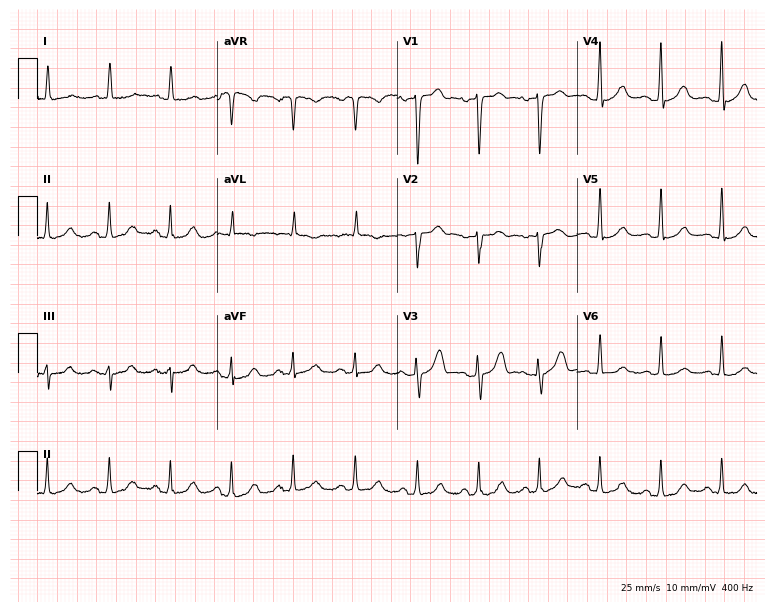
12-lead ECG from a woman, 85 years old (7.3-second recording at 400 Hz). No first-degree AV block, right bundle branch block, left bundle branch block, sinus bradycardia, atrial fibrillation or sinus tachycardia recorded for this tracing.